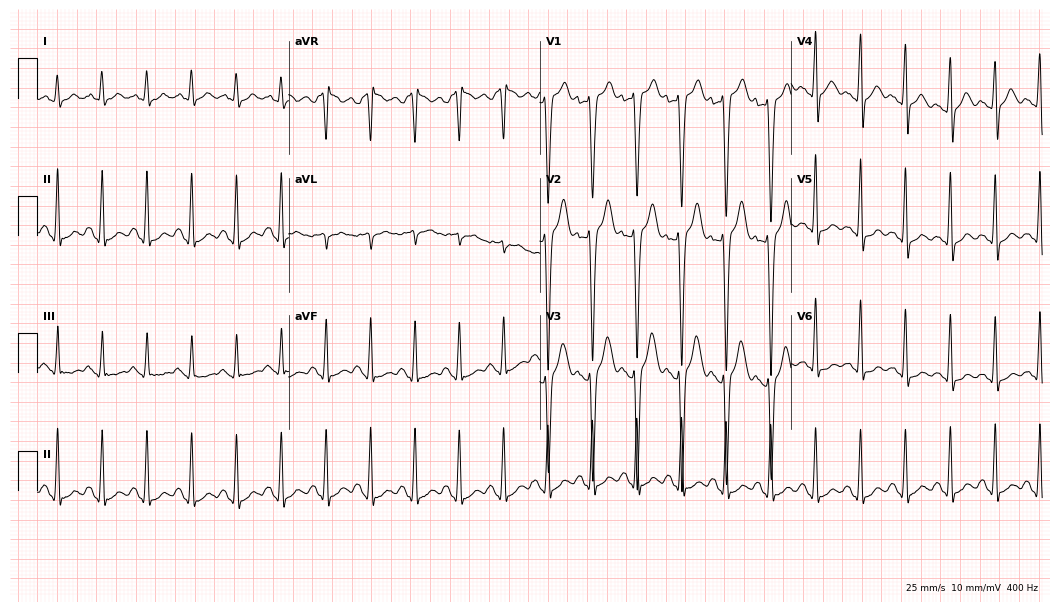
Electrocardiogram (10.2-second recording at 400 Hz), a 22-year-old male. Interpretation includes sinus tachycardia (a sinus rate of 100 beats per minute or more).